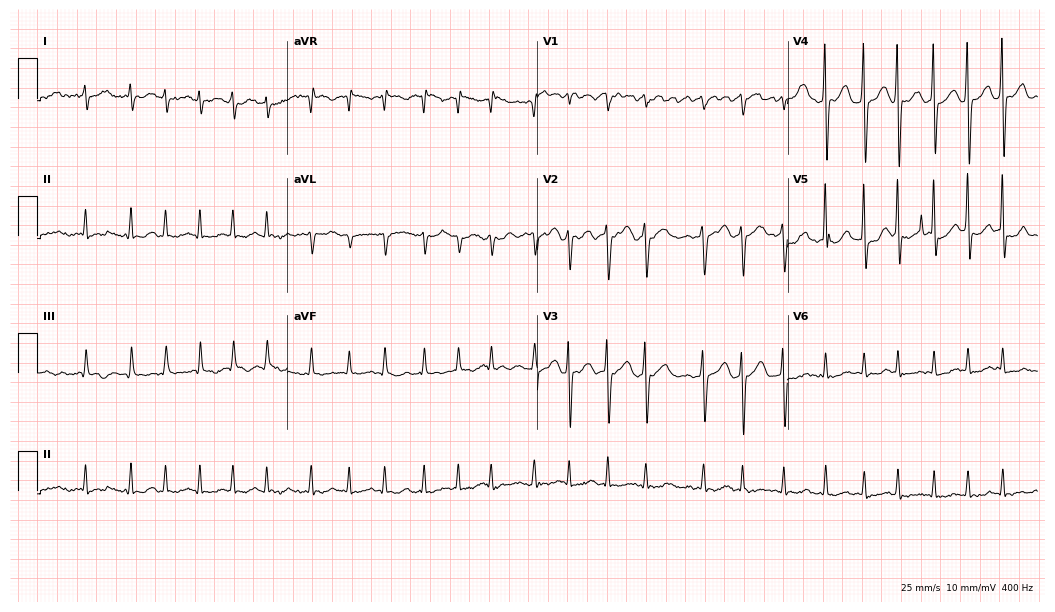
Standard 12-lead ECG recorded from a woman, 83 years old (10.2-second recording at 400 Hz). The tracing shows atrial fibrillation (AF), sinus tachycardia (a sinus rate of 100 beats per minute or more).